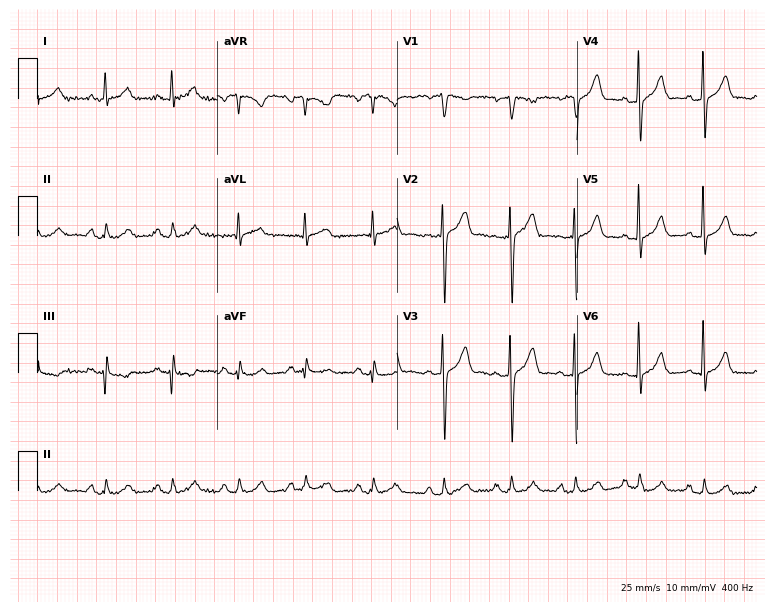
ECG (7.3-second recording at 400 Hz) — a female patient, 60 years old. Labelled as a normal ECG.